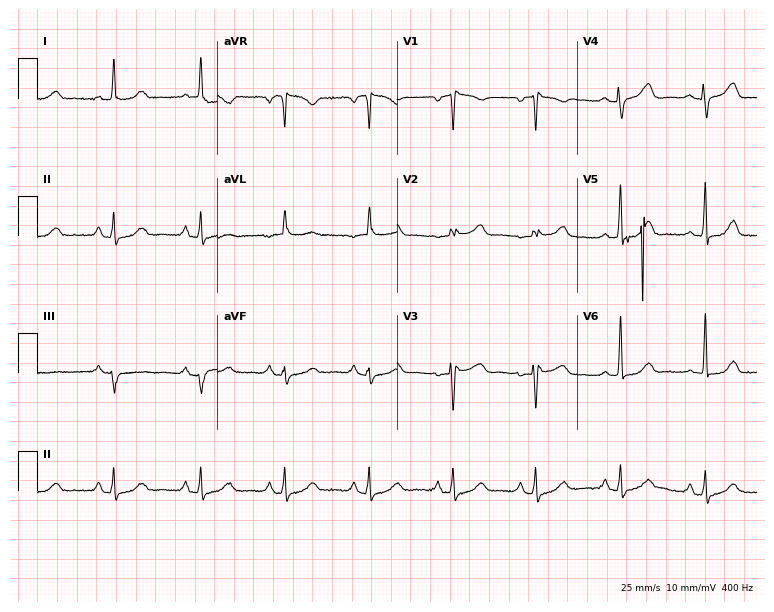
Standard 12-lead ECG recorded from a female, 65 years old (7.3-second recording at 400 Hz). Read as a normal ECG.